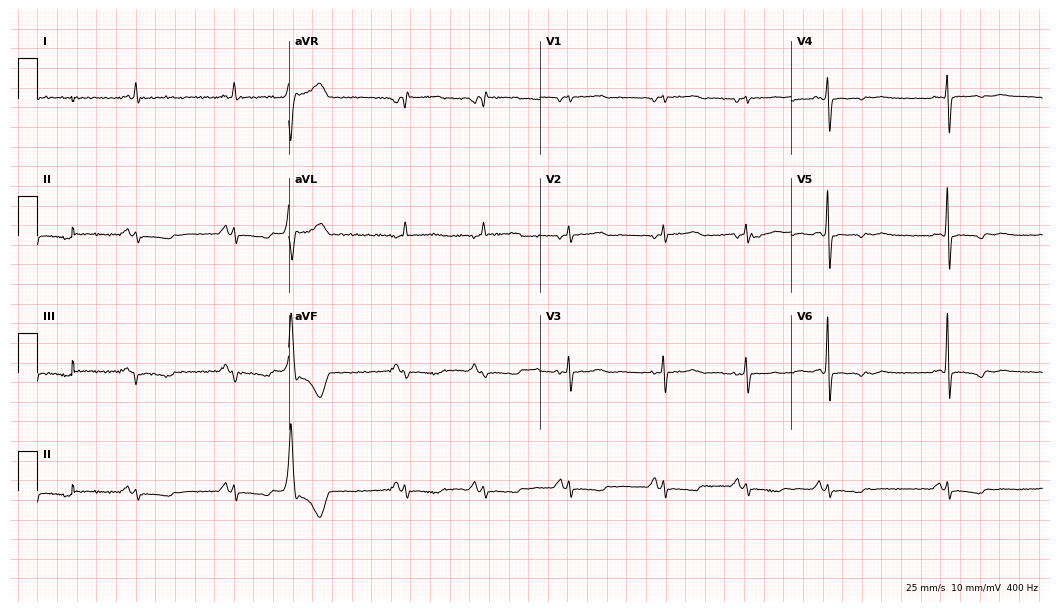
12-lead ECG from a female, 71 years old. Screened for six findings — first-degree AV block, right bundle branch block, left bundle branch block, sinus bradycardia, atrial fibrillation, sinus tachycardia — none is recorded.